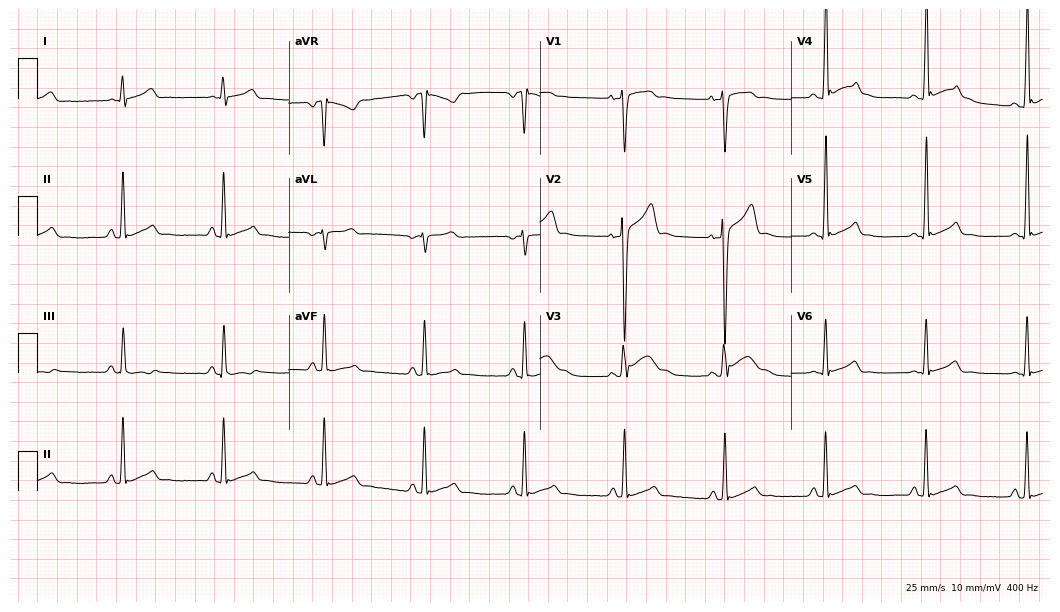
Electrocardiogram (10.2-second recording at 400 Hz), a 17-year-old male. Overall reading on record: normal ECG.